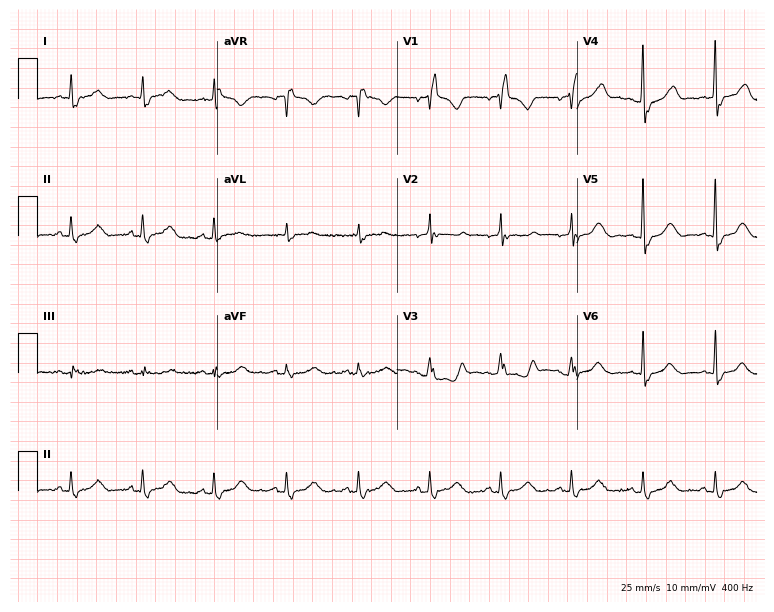
Resting 12-lead electrocardiogram. Patient: a 70-year-old male. None of these six findings is recorded: first-degree AV block, right bundle branch block (RBBB), left bundle branch block (LBBB), sinus bradycardia, atrial fibrillation (AF), sinus tachycardia. Findings outside these six are not listed.